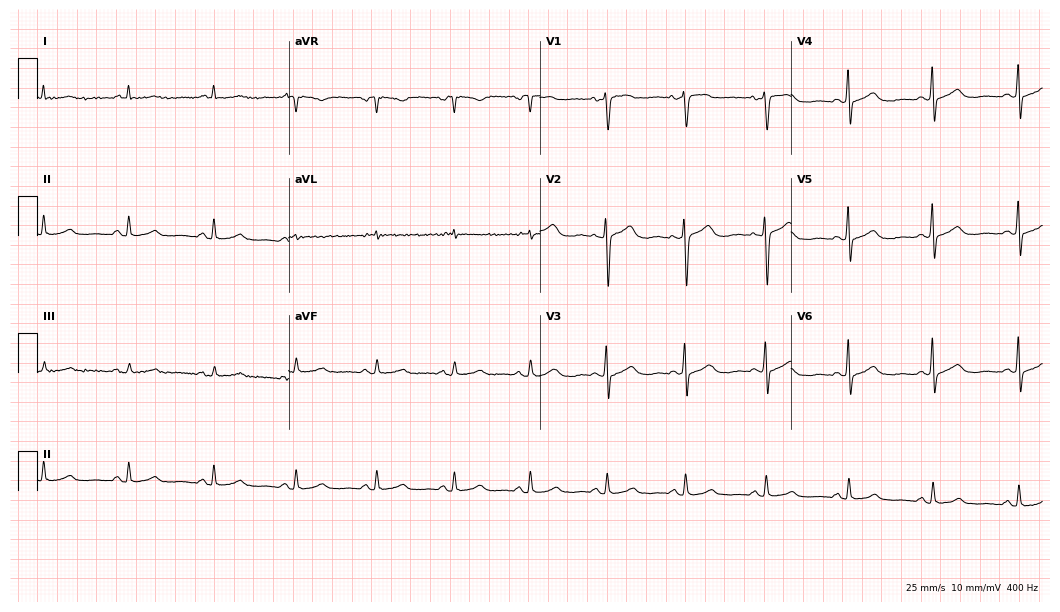
Electrocardiogram (10.2-second recording at 400 Hz), a female, 52 years old. Overall reading on record: normal ECG.